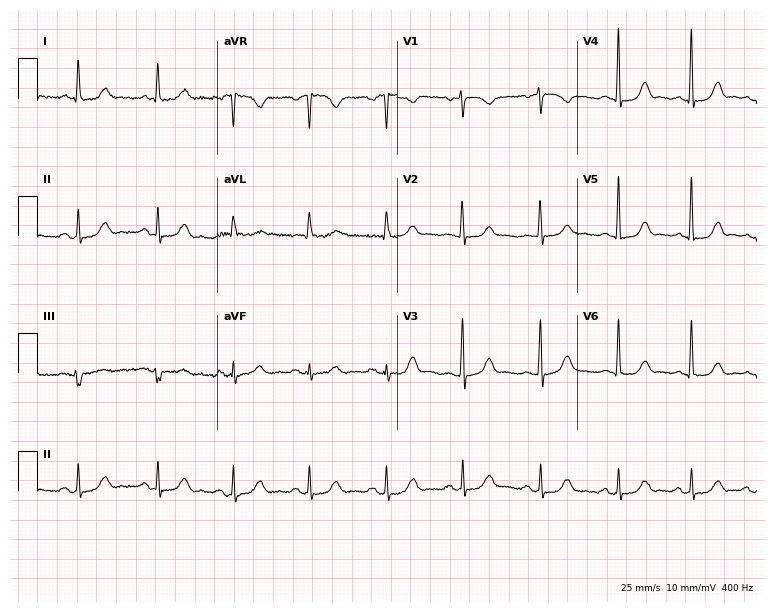
Electrocardiogram (7.3-second recording at 400 Hz), a female, 71 years old. Overall reading on record: normal ECG.